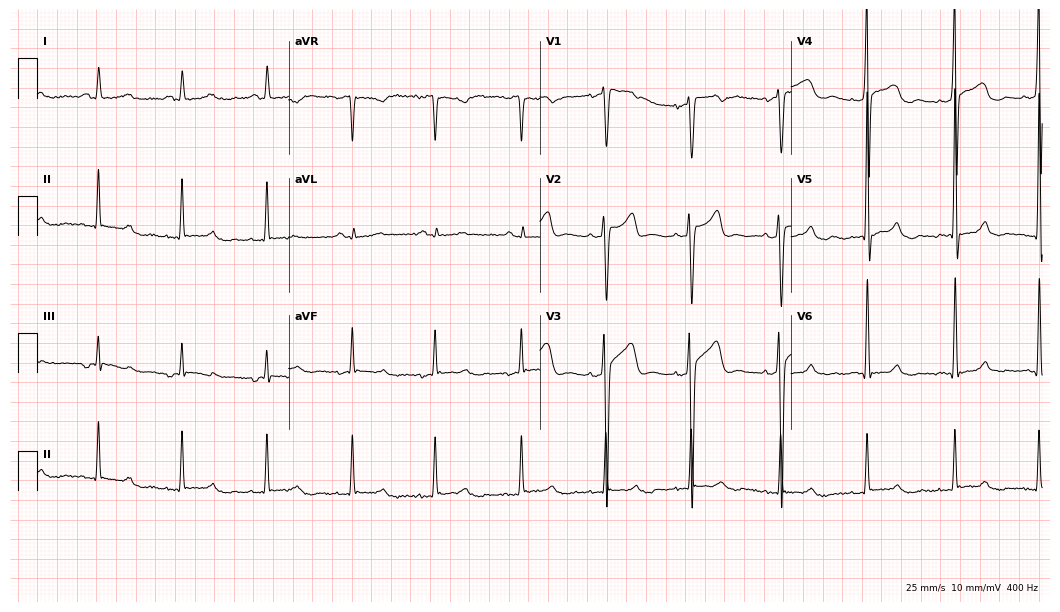
Standard 12-lead ECG recorded from a male patient, 45 years old (10.2-second recording at 400 Hz). None of these six findings is recorded: first-degree AV block, right bundle branch block (RBBB), left bundle branch block (LBBB), sinus bradycardia, atrial fibrillation (AF), sinus tachycardia.